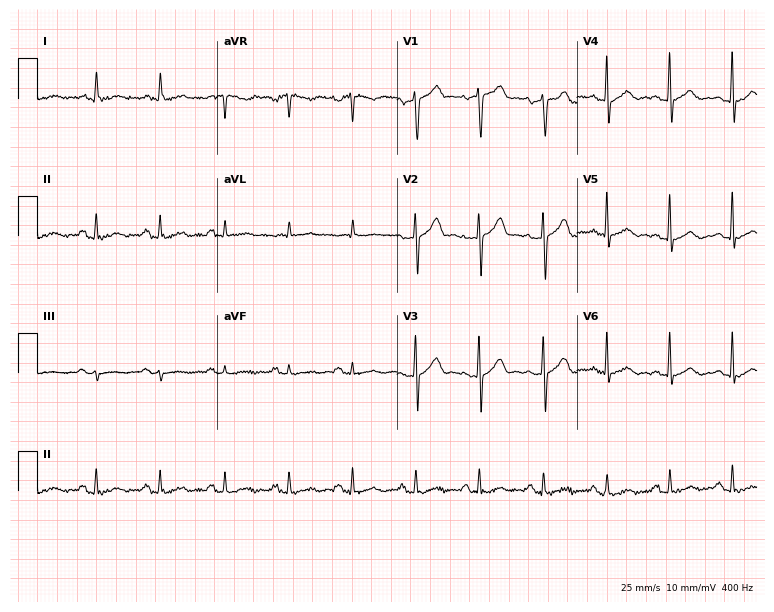
ECG (7.3-second recording at 400 Hz) — a 76-year-old man. Labelled as a normal ECG.